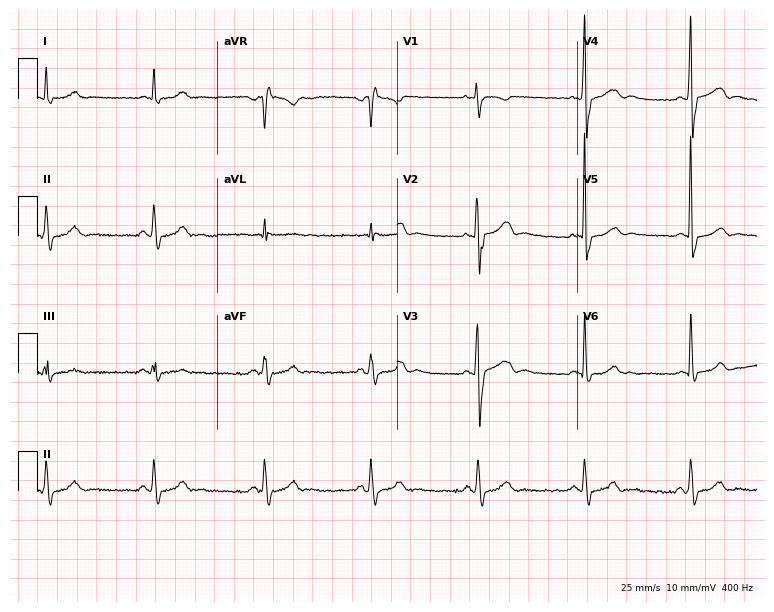
12-lead ECG from a man, 39 years old (7.3-second recording at 400 Hz). Recorded interpretation: within normal limits.